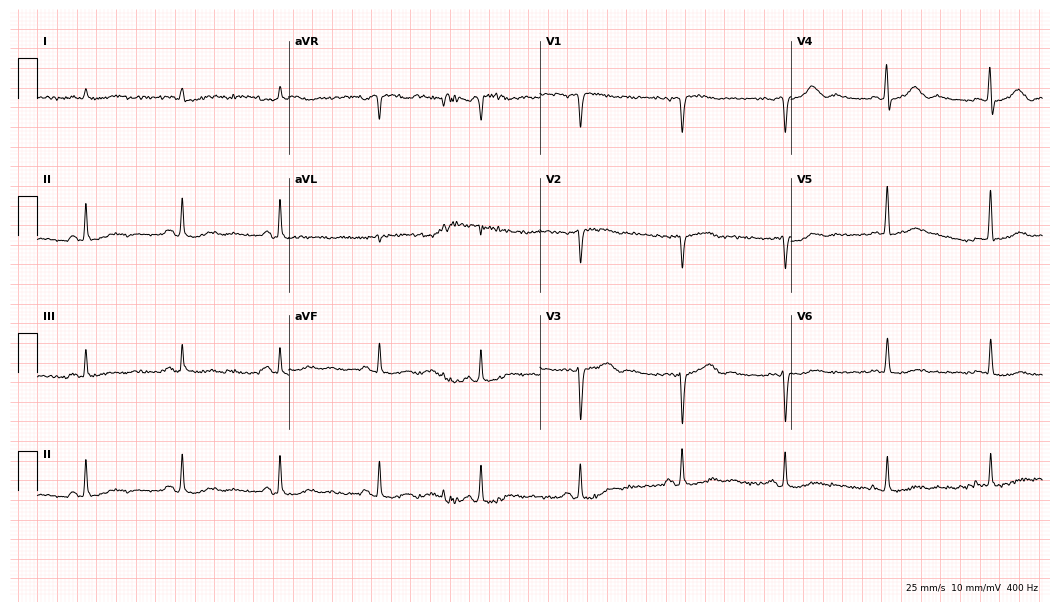
12-lead ECG from a male patient, 84 years old (10.2-second recording at 400 Hz). Recorded interpretation: within normal limits.